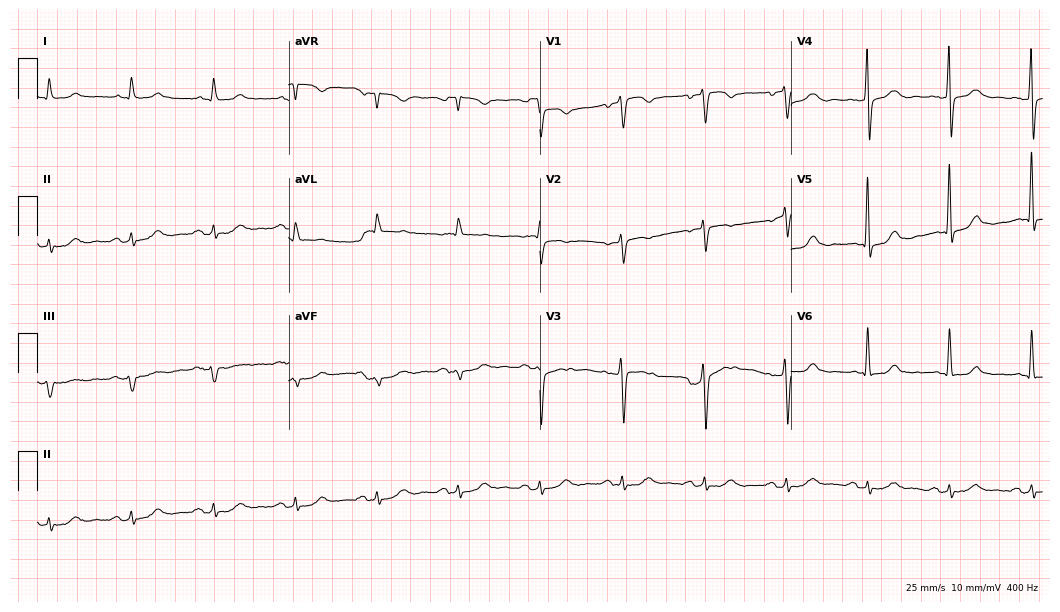
Electrocardiogram (10.2-second recording at 400 Hz), a 60-year-old male. Overall reading on record: normal ECG.